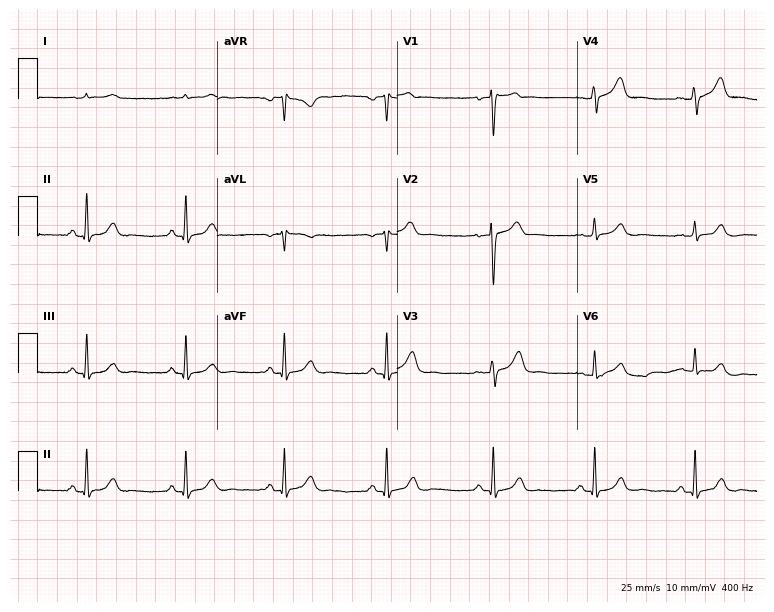
12-lead ECG from a 57-year-old man (7.3-second recording at 400 Hz). Recorded interpretation: within normal limits.